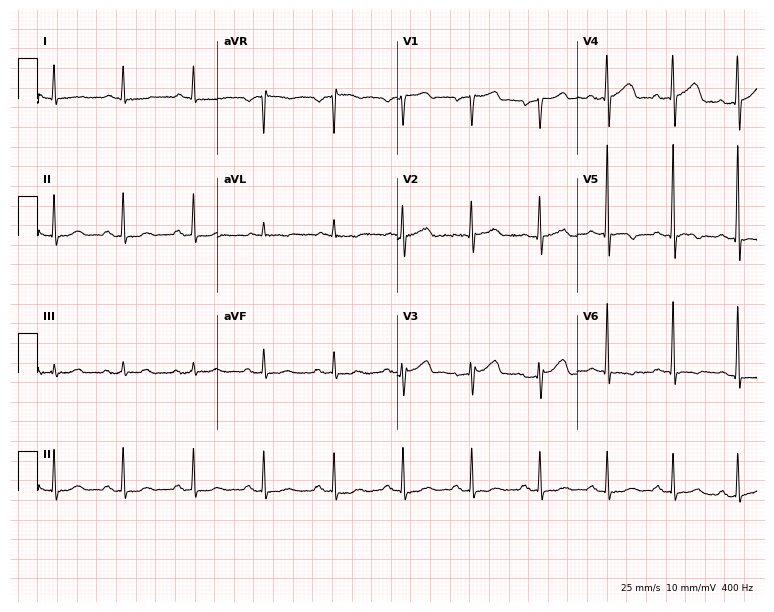
ECG (7.3-second recording at 400 Hz) — a 67-year-old male. Screened for six findings — first-degree AV block, right bundle branch block, left bundle branch block, sinus bradycardia, atrial fibrillation, sinus tachycardia — none is recorded.